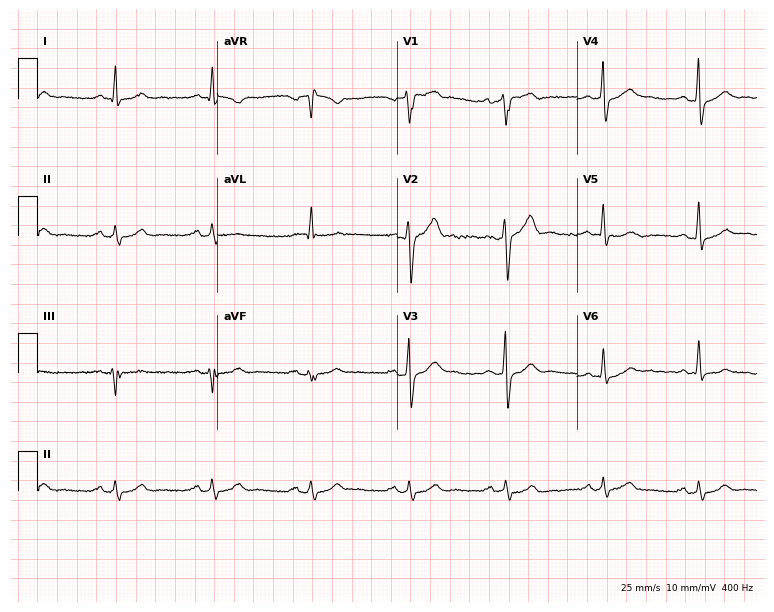
Resting 12-lead electrocardiogram. Patient: a male, 42 years old. None of these six findings is recorded: first-degree AV block, right bundle branch block, left bundle branch block, sinus bradycardia, atrial fibrillation, sinus tachycardia.